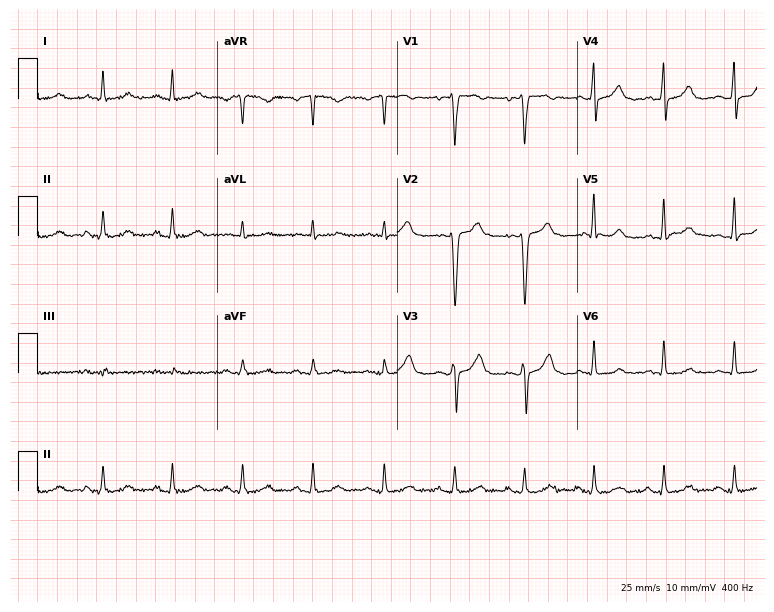
Resting 12-lead electrocardiogram (7.3-second recording at 400 Hz). Patient: a 65-year-old man. Read as a normal ECG.